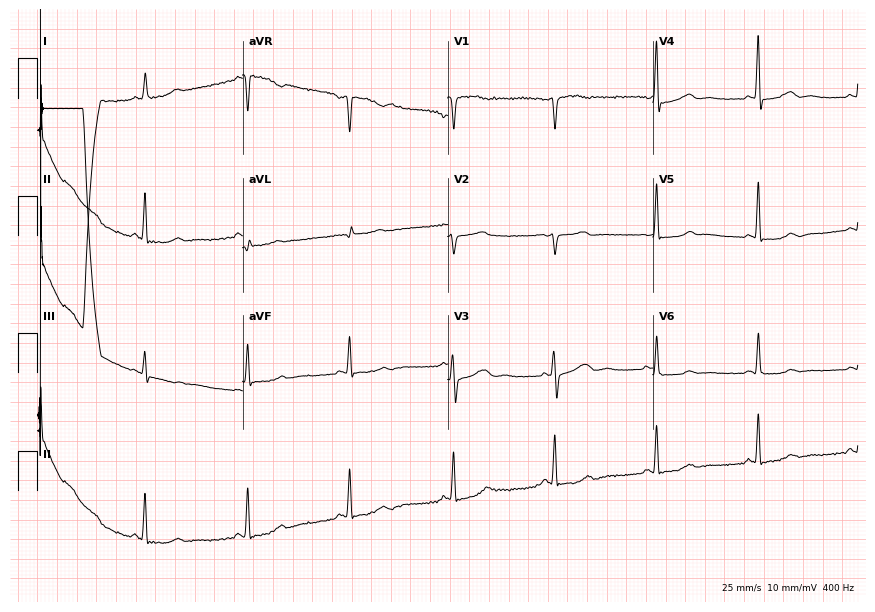
12-lead ECG from a female patient, 67 years old (8.4-second recording at 400 Hz). No first-degree AV block, right bundle branch block (RBBB), left bundle branch block (LBBB), sinus bradycardia, atrial fibrillation (AF) or sinus tachycardia recorded for this tracing.